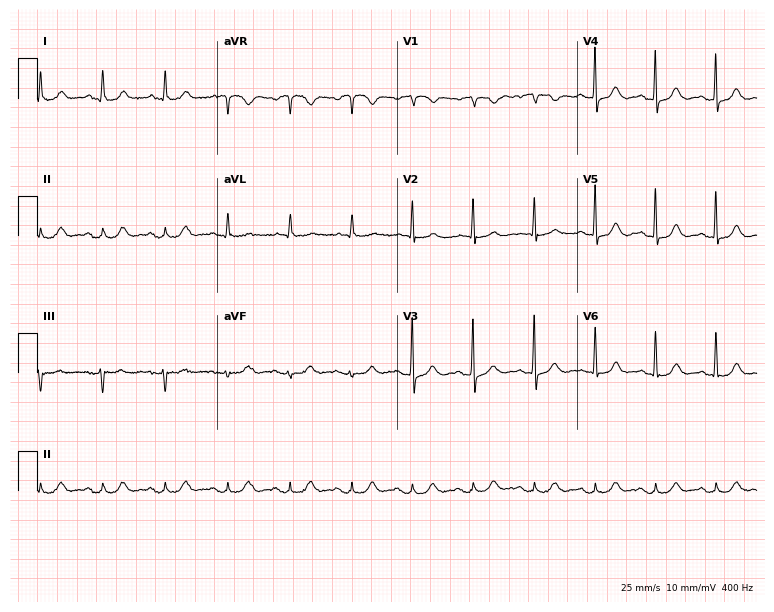
Standard 12-lead ECG recorded from a 59-year-old male (7.3-second recording at 400 Hz). Read as a normal ECG.